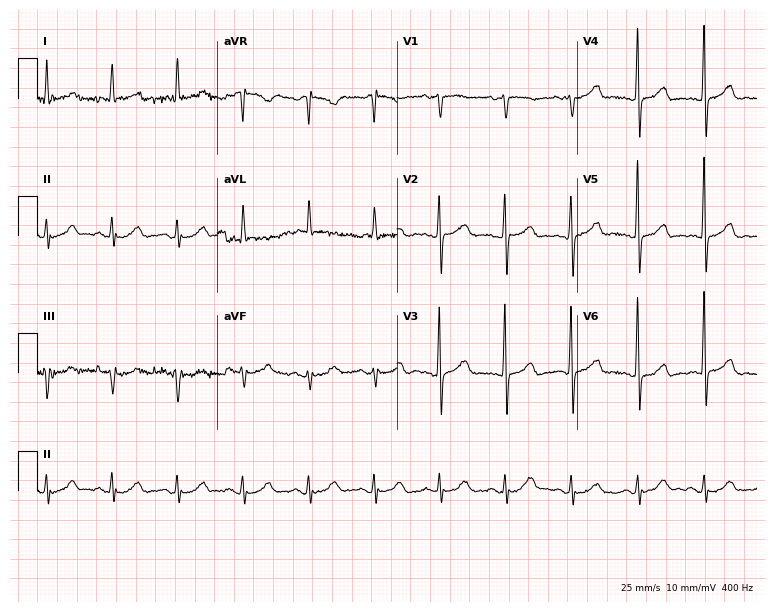
Electrocardiogram (7.3-second recording at 400 Hz), a male patient, 81 years old. Overall reading on record: normal ECG.